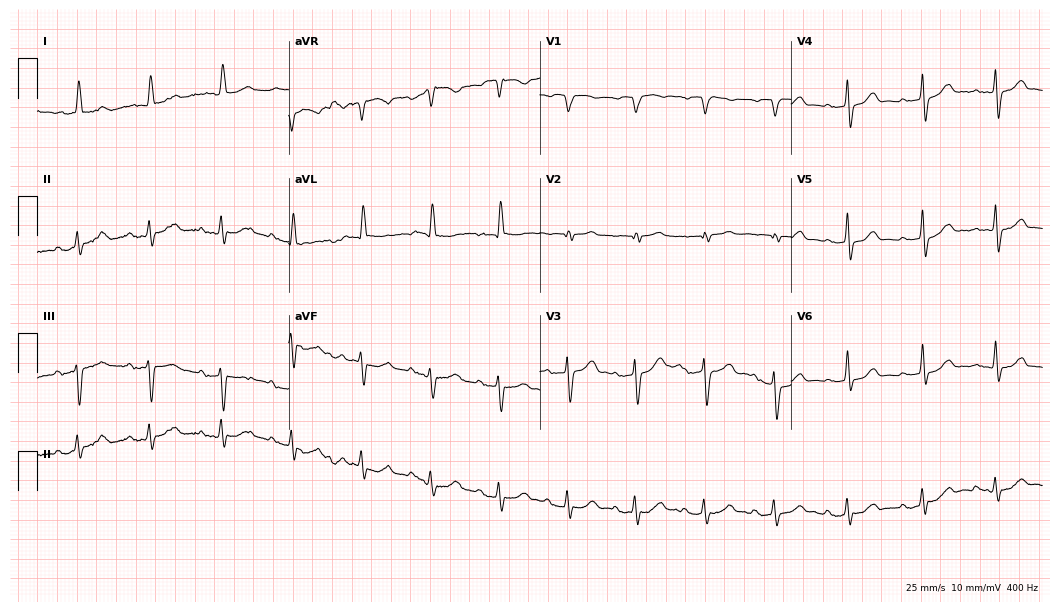
Resting 12-lead electrocardiogram. Patient: a 79-year-old male. The tracing shows first-degree AV block.